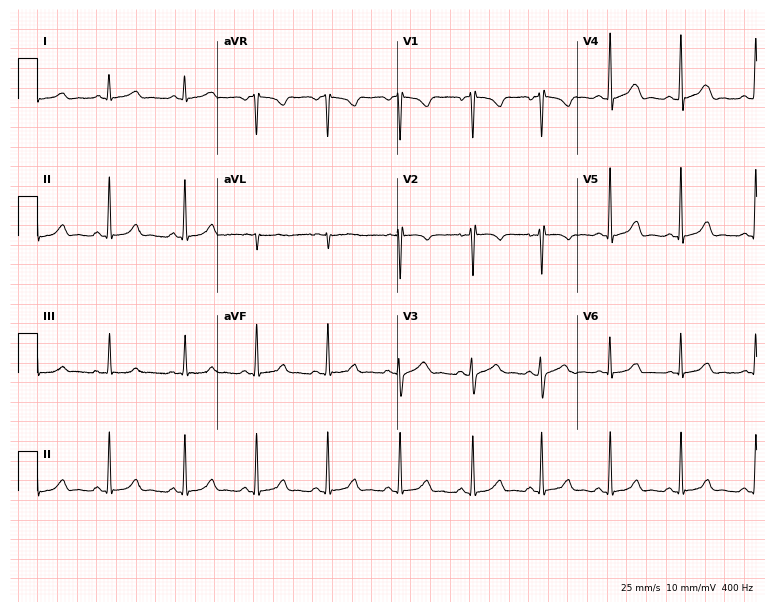
12-lead ECG from a 33-year-old woman. Screened for six findings — first-degree AV block, right bundle branch block, left bundle branch block, sinus bradycardia, atrial fibrillation, sinus tachycardia — none is recorded. Only these six findings were labelled.